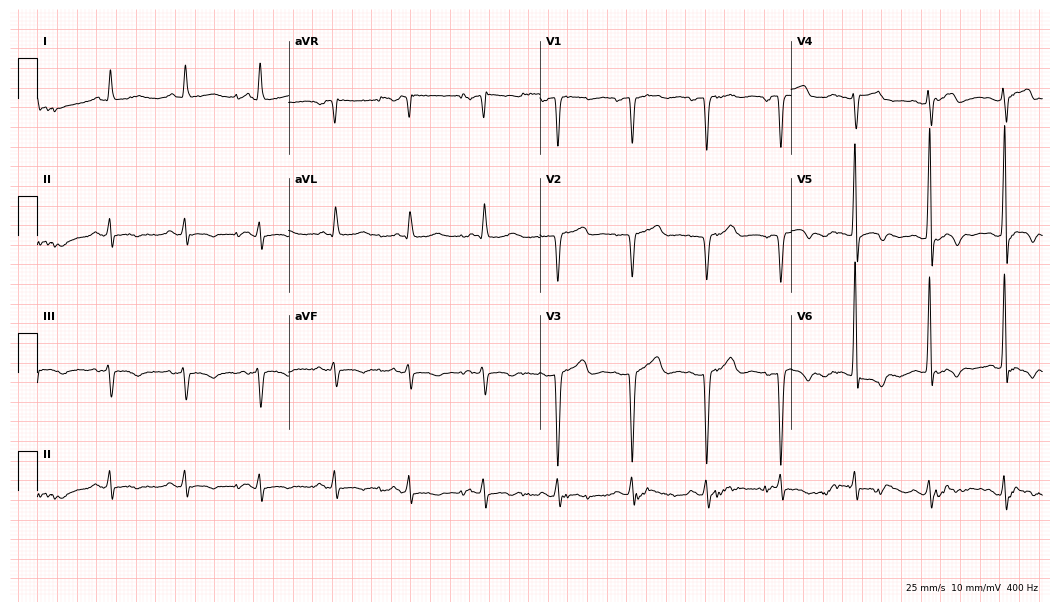
Electrocardiogram, a male, 71 years old. Of the six screened findings (first-degree AV block, right bundle branch block (RBBB), left bundle branch block (LBBB), sinus bradycardia, atrial fibrillation (AF), sinus tachycardia), none is recorded.